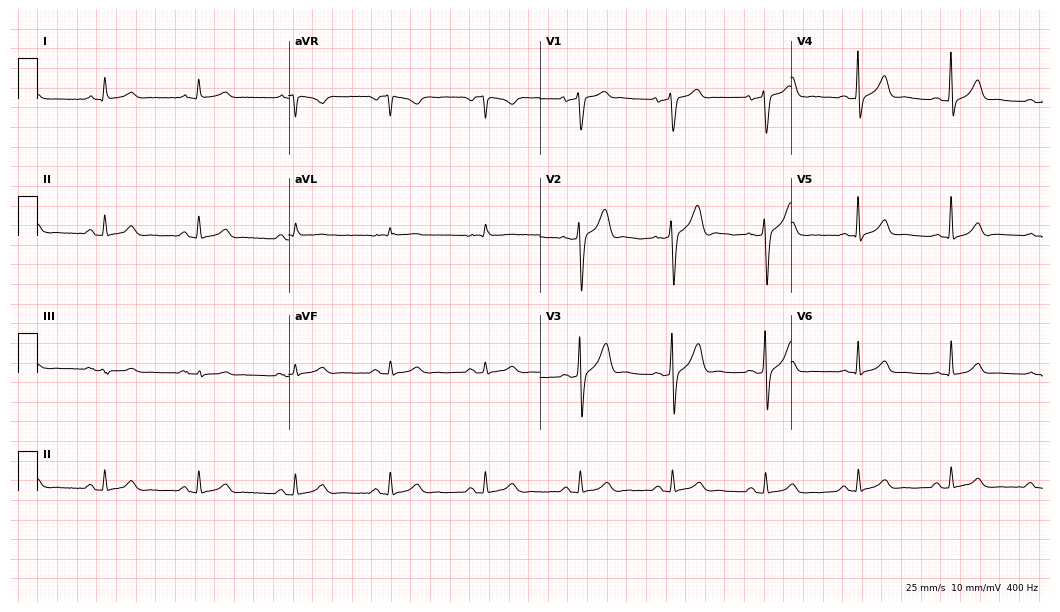
ECG (10.2-second recording at 400 Hz) — a 56-year-old man. Labelled as a normal ECG.